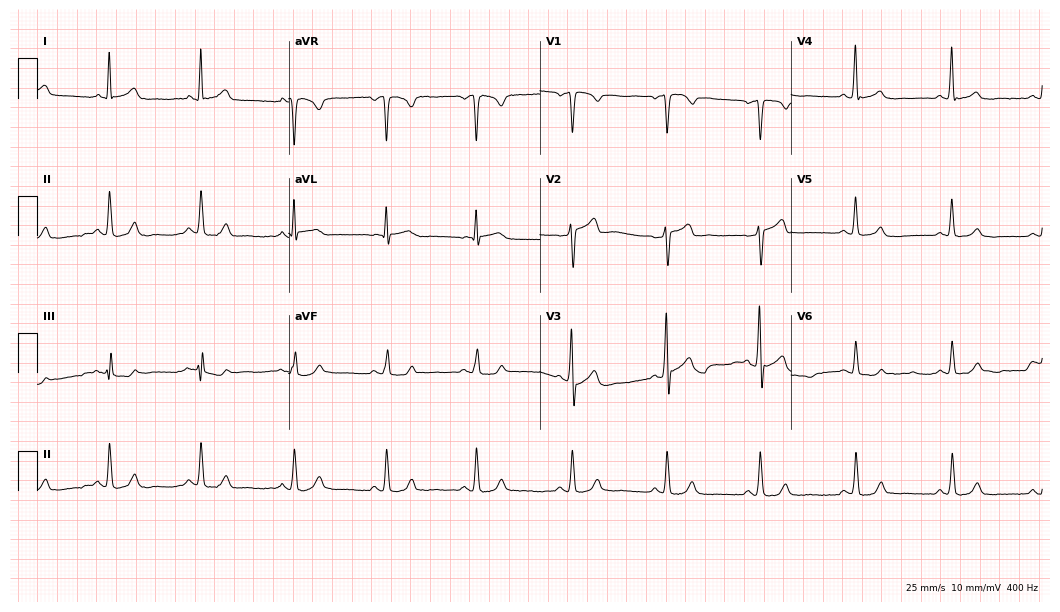
ECG (10.2-second recording at 400 Hz) — a male, 34 years old. Labelled as a normal ECG.